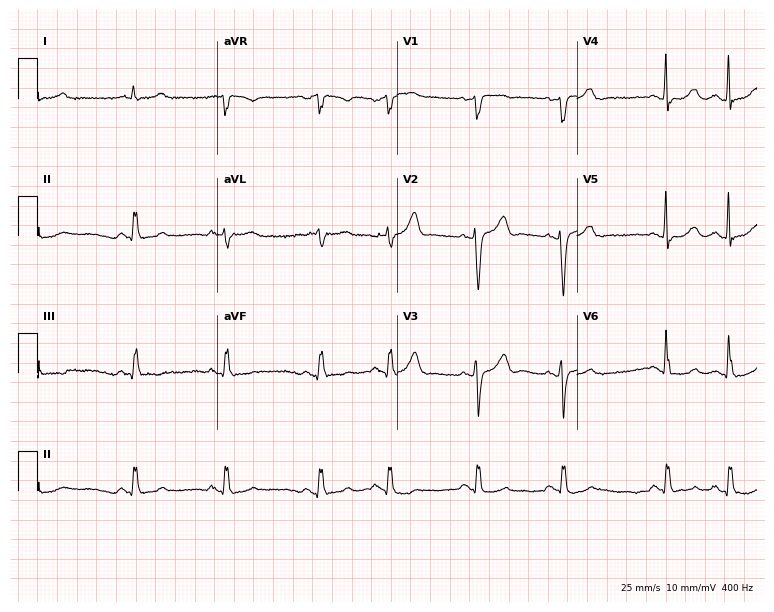
Standard 12-lead ECG recorded from a 79-year-old male. None of these six findings is recorded: first-degree AV block, right bundle branch block (RBBB), left bundle branch block (LBBB), sinus bradycardia, atrial fibrillation (AF), sinus tachycardia.